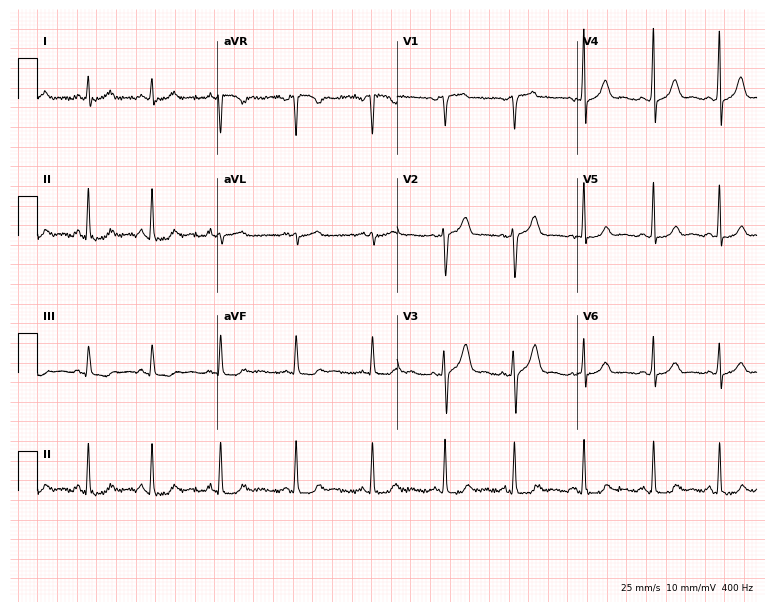
Resting 12-lead electrocardiogram. Patient: a female, 23 years old. None of these six findings is recorded: first-degree AV block, right bundle branch block (RBBB), left bundle branch block (LBBB), sinus bradycardia, atrial fibrillation (AF), sinus tachycardia.